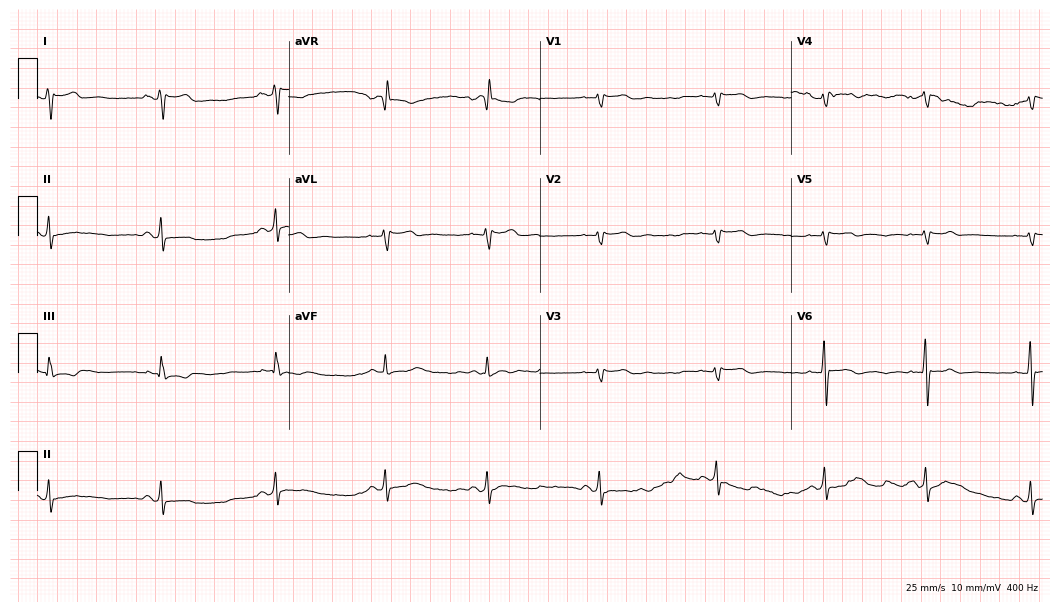
Standard 12-lead ECG recorded from a male, 48 years old. None of these six findings is recorded: first-degree AV block, right bundle branch block (RBBB), left bundle branch block (LBBB), sinus bradycardia, atrial fibrillation (AF), sinus tachycardia.